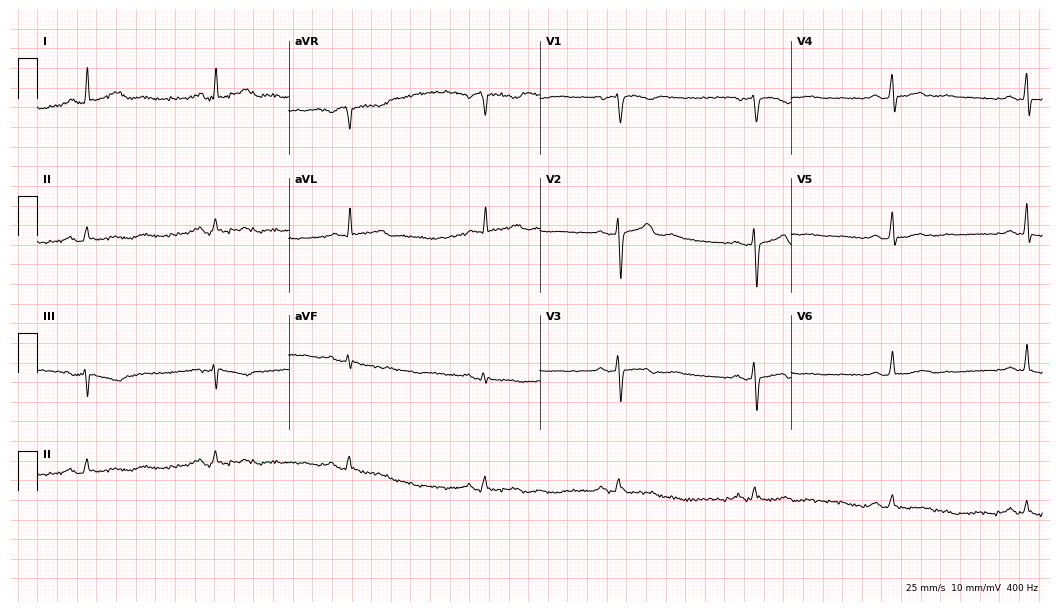
ECG (10.2-second recording at 400 Hz) — a male, 65 years old. Screened for six findings — first-degree AV block, right bundle branch block, left bundle branch block, sinus bradycardia, atrial fibrillation, sinus tachycardia — none is recorded.